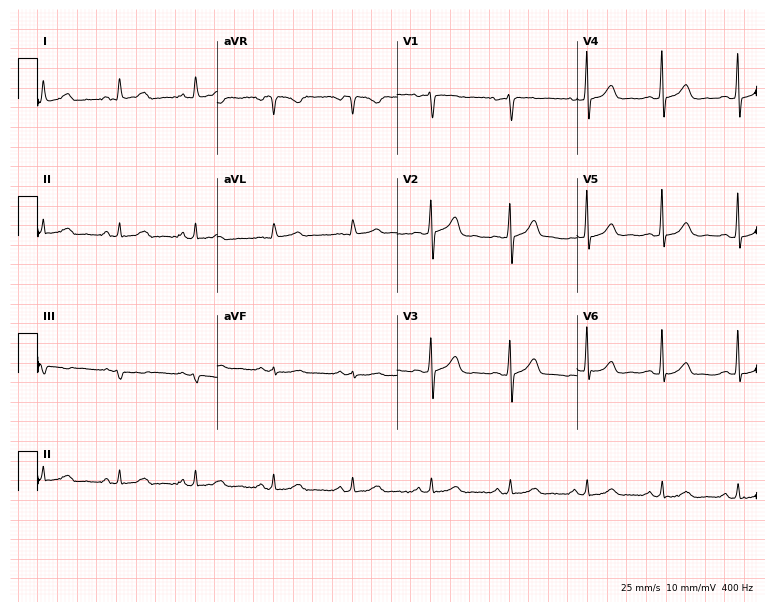
Standard 12-lead ECG recorded from a woman, 43 years old. None of these six findings is recorded: first-degree AV block, right bundle branch block, left bundle branch block, sinus bradycardia, atrial fibrillation, sinus tachycardia.